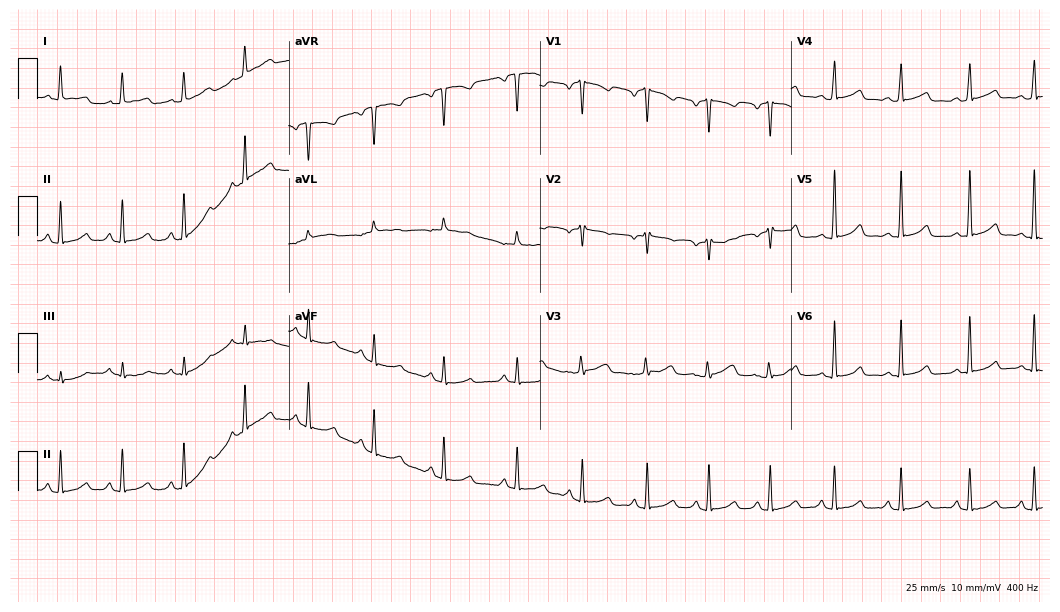
12-lead ECG from a 46-year-old female patient (10.2-second recording at 400 Hz). No first-degree AV block, right bundle branch block, left bundle branch block, sinus bradycardia, atrial fibrillation or sinus tachycardia recorded for this tracing.